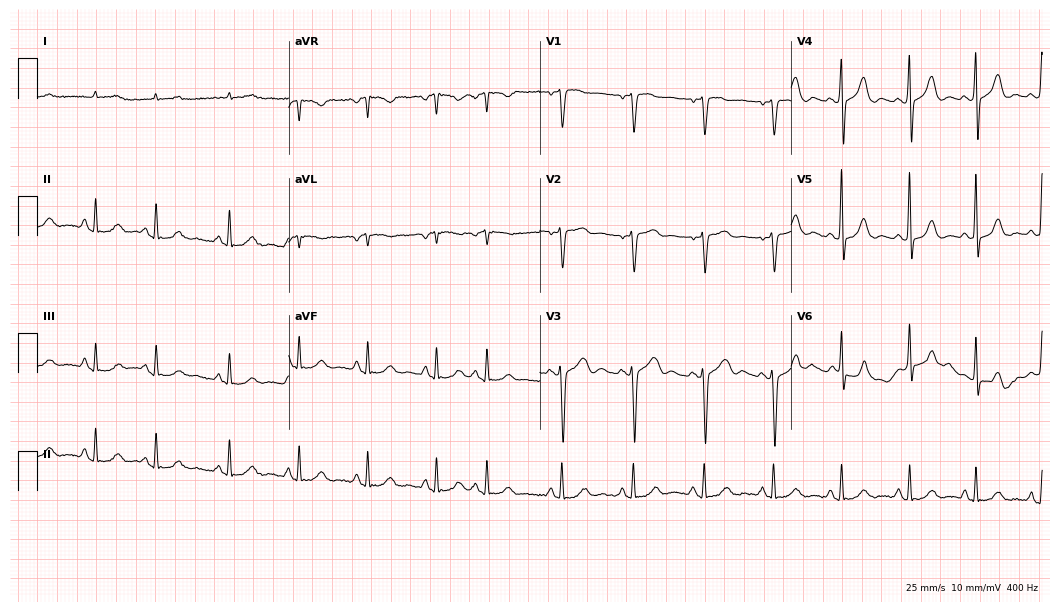
Standard 12-lead ECG recorded from a male, 75 years old (10.2-second recording at 400 Hz). Read as a normal ECG.